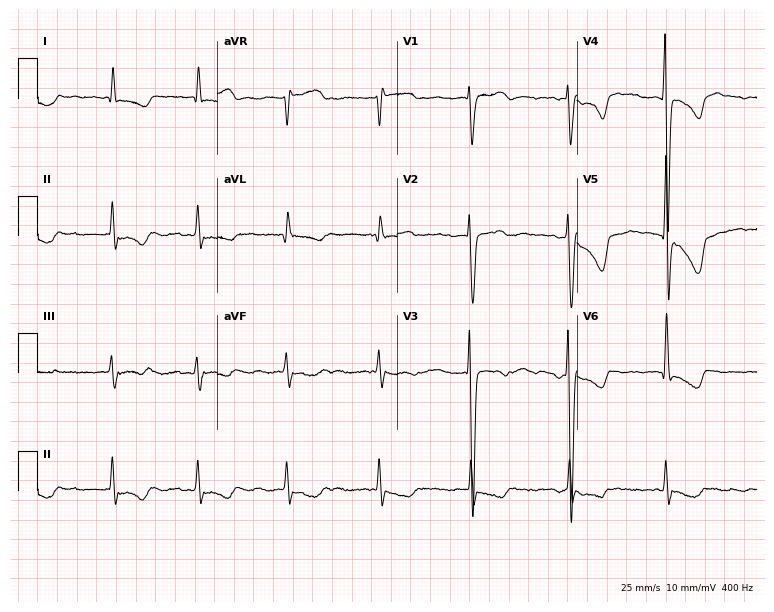
Resting 12-lead electrocardiogram (7.3-second recording at 400 Hz). Patient: a 75-year-old female. None of these six findings is recorded: first-degree AV block, right bundle branch block, left bundle branch block, sinus bradycardia, atrial fibrillation, sinus tachycardia. Findings outside these six are not listed.